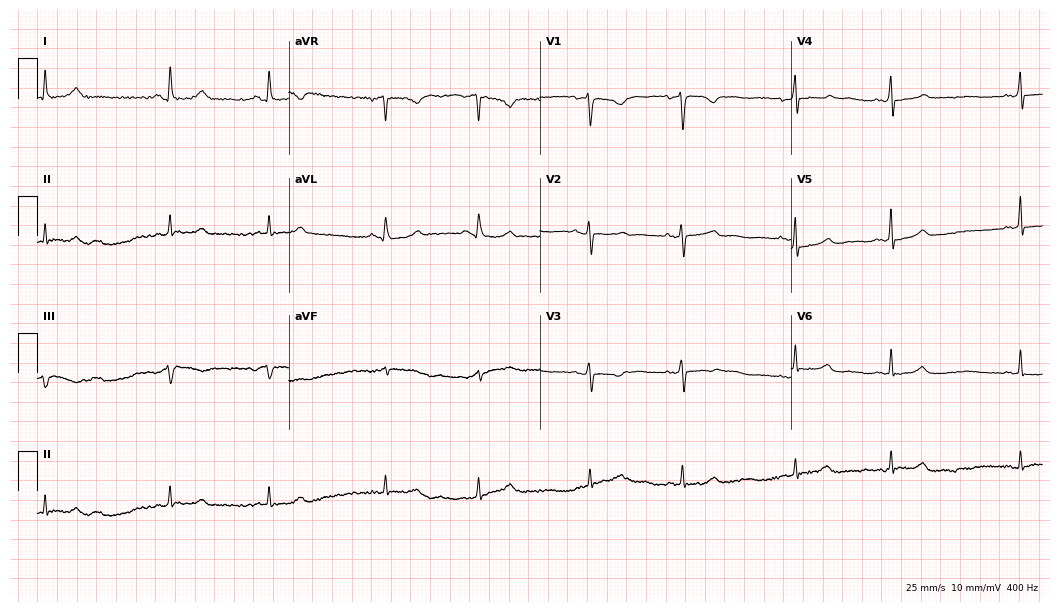
12-lead ECG (10.2-second recording at 400 Hz) from a 39-year-old woman. Labelled as a normal ECG.